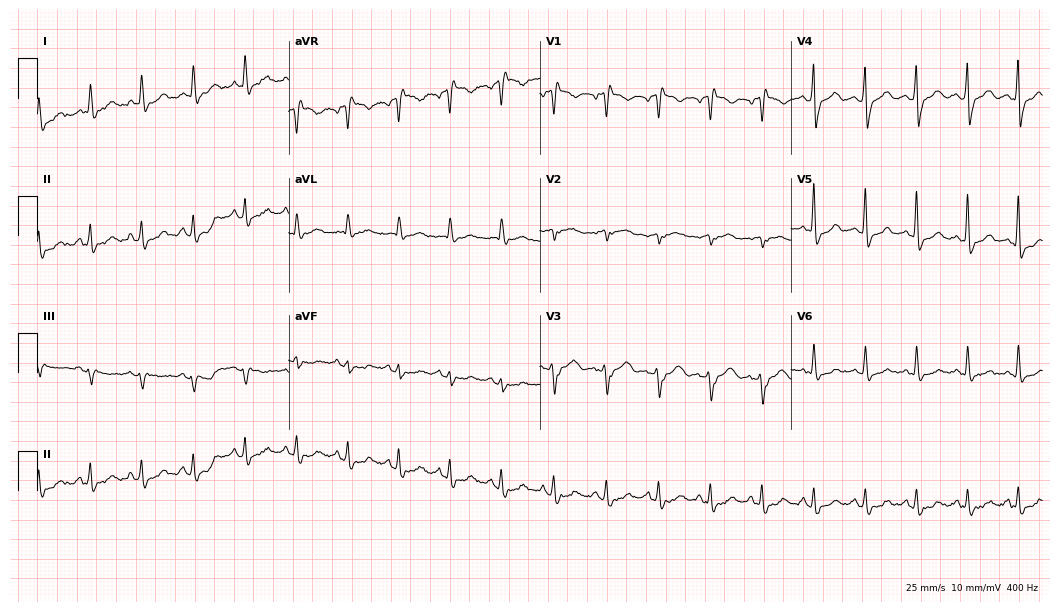
Standard 12-lead ECG recorded from a 56-year-old man (10.2-second recording at 400 Hz). The tracing shows sinus tachycardia (a sinus rate of 100 beats per minute or more).